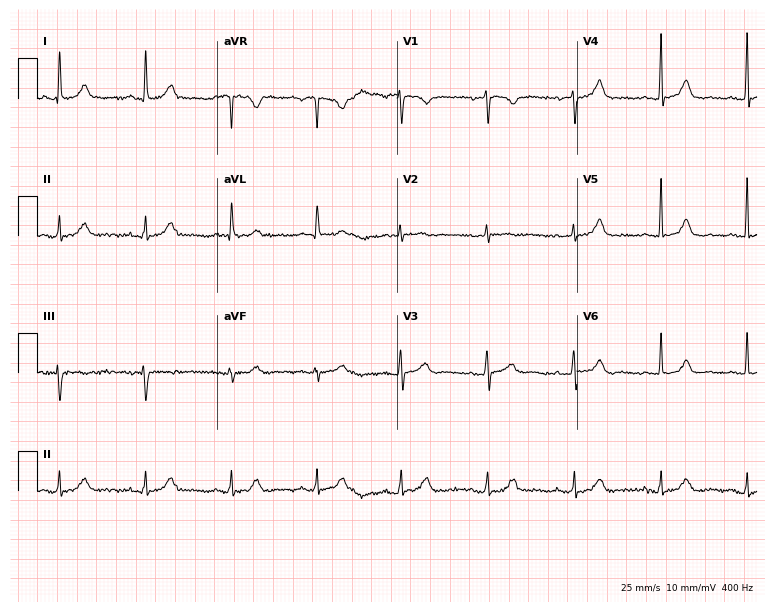
Resting 12-lead electrocardiogram. Patient: a female, 79 years old. Read as a normal ECG.